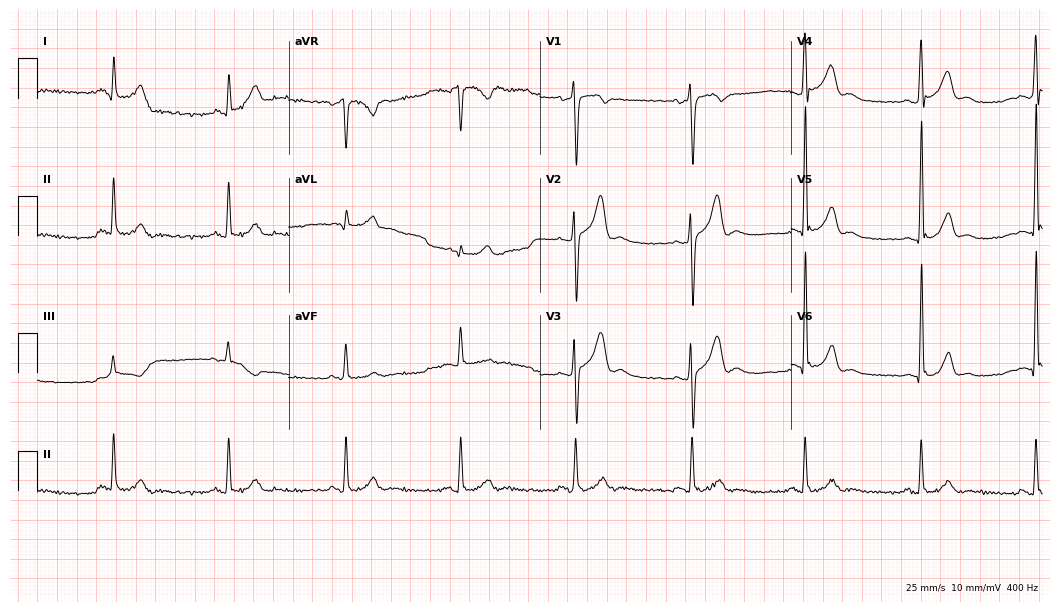
ECG (10.2-second recording at 400 Hz) — a 47-year-old male. Screened for six findings — first-degree AV block, right bundle branch block (RBBB), left bundle branch block (LBBB), sinus bradycardia, atrial fibrillation (AF), sinus tachycardia — none is recorded. Only these six findings were labelled.